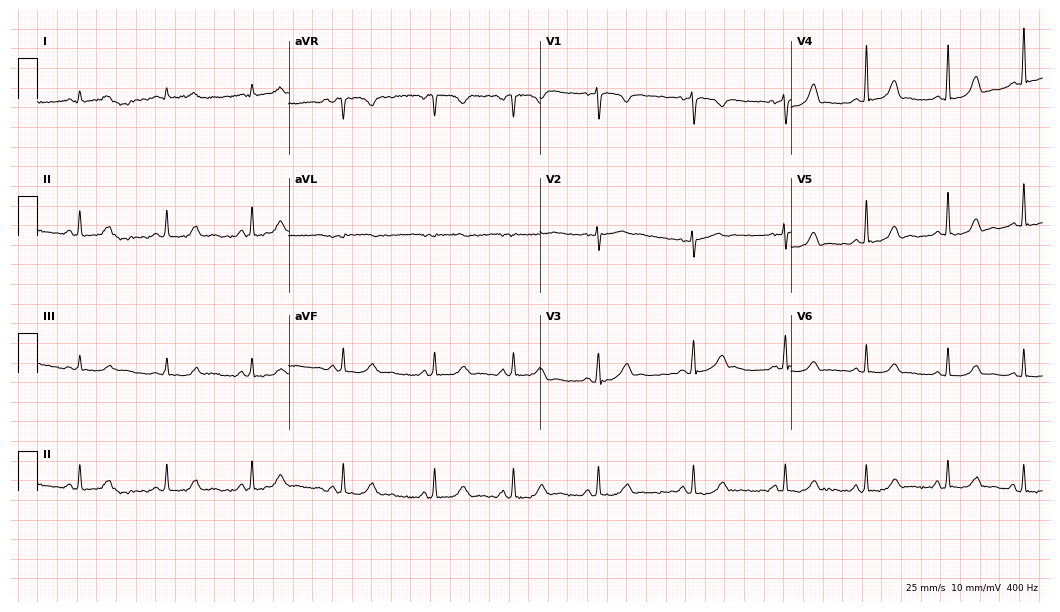
Standard 12-lead ECG recorded from a 28-year-old female patient. Read as a normal ECG.